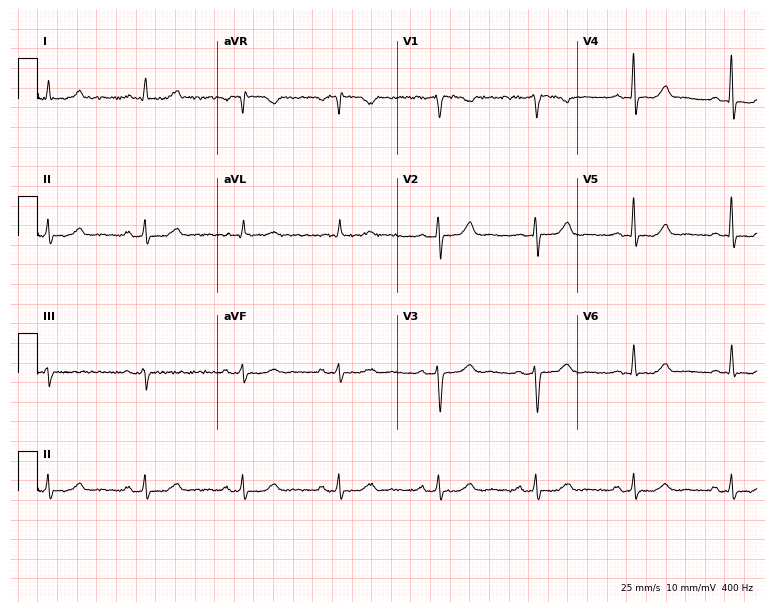
12-lead ECG from a 48-year-old woman. Labelled as a normal ECG.